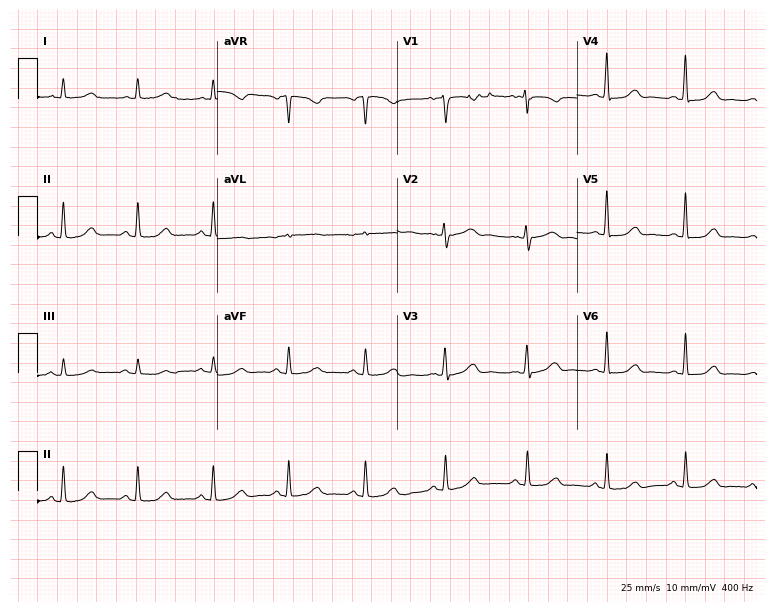
Electrocardiogram, a woman, 52 years old. Of the six screened findings (first-degree AV block, right bundle branch block, left bundle branch block, sinus bradycardia, atrial fibrillation, sinus tachycardia), none is recorded.